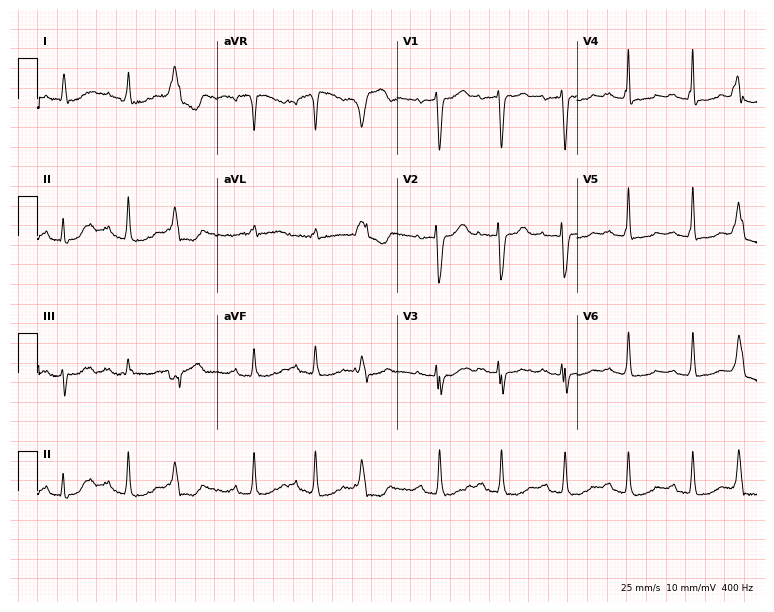
ECG (7.3-second recording at 400 Hz) — an 84-year-old woman. Screened for six findings — first-degree AV block, right bundle branch block, left bundle branch block, sinus bradycardia, atrial fibrillation, sinus tachycardia — none is recorded. Other findings, if any, are not listed.